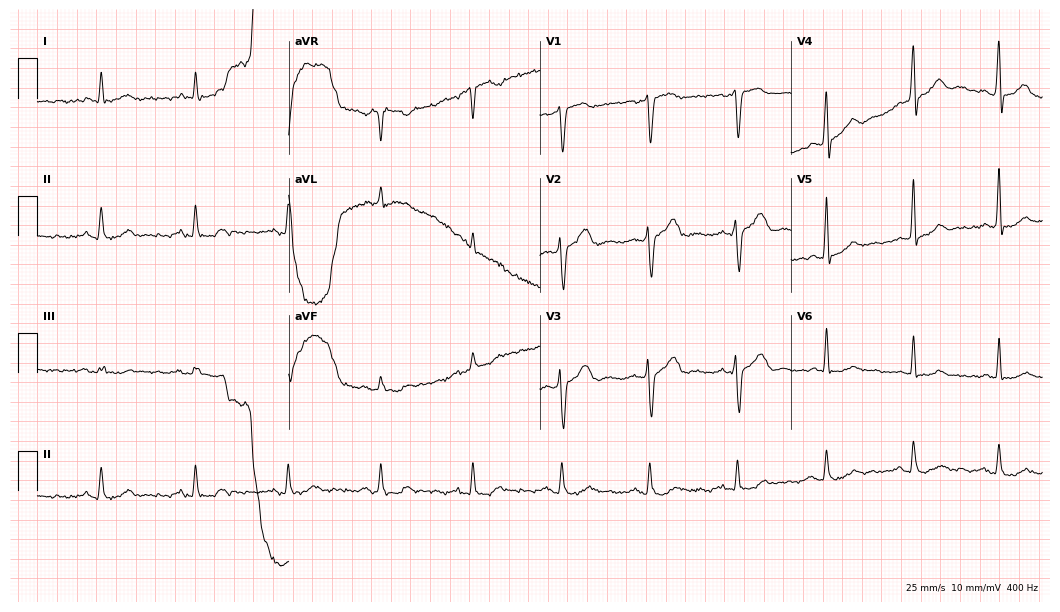
Electrocardiogram, a male patient, 64 years old. Of the six screened findings (first-degree AV block, right bundle branch block (RBBB), left bundle branch block (LBBB), sinus bradycardia, atrial fibrillation (AF), sinus tachycardia), none is recorded. Other findings, if any, are not listed.